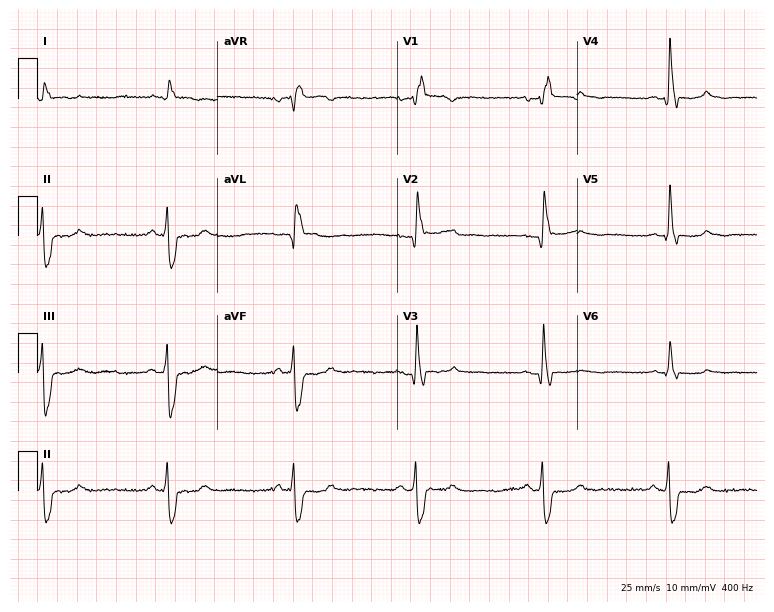
Electrocardiogram, a male patient, 55 years old. Of the six screened findings (first-degree AV block, right bundle branch block, left bundle branch block, sinus bradycardia, atrial fibrillation, sinus tachycardia), none is recorded.